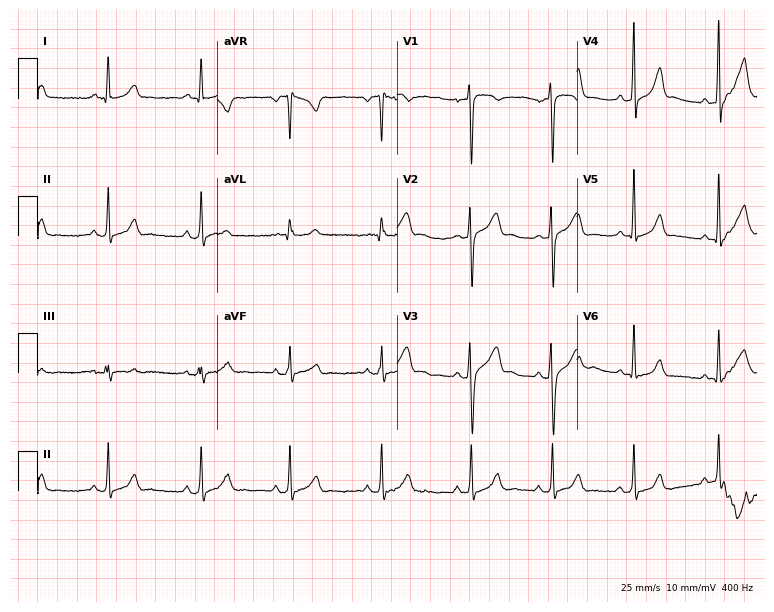
ECG (7.3-second recording at 400 Hz) — a male patient, 21 years old. Labelled as a normal ECG.